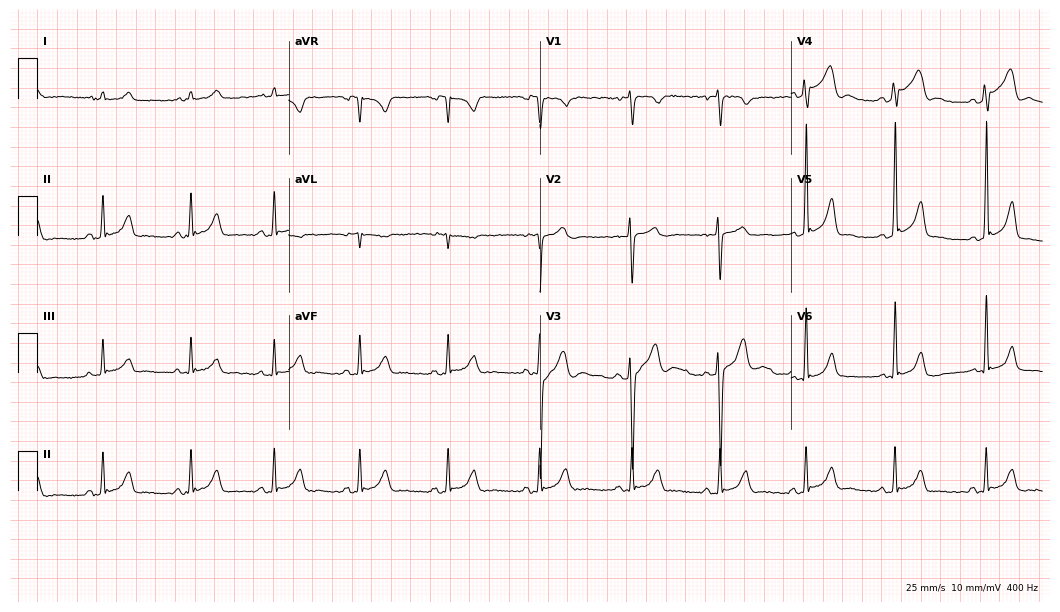
12-lead ECG (10.2-second recording at 400 Hz) from a 25-year-old man. Screened for six findings — first-degree AV block, right bundle branch block, left bundle branch block, sinus bradycardia, atrial fibrillation, sinus tachycardia — none is recorded.